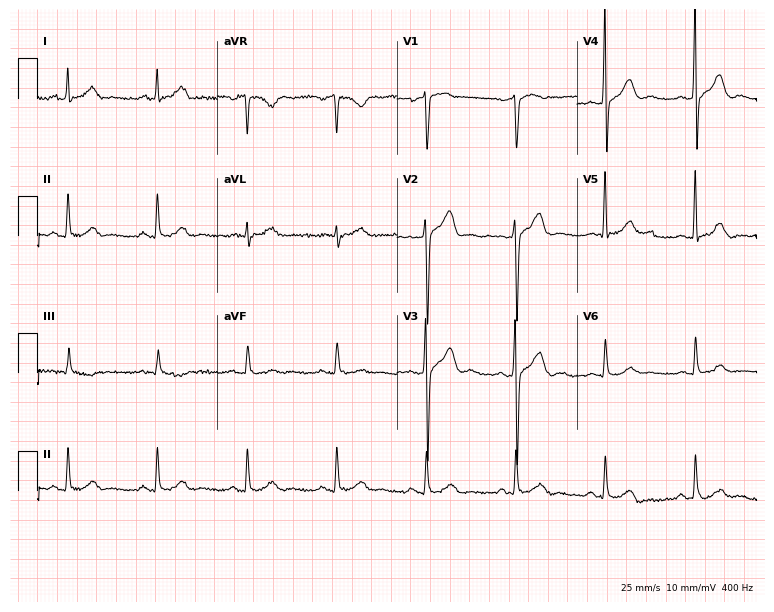
Resting 12-lead electrocardiogram (7.3-second recording at 400 Hz). Patient: a male, 55 years old. Read as a normal ECG.